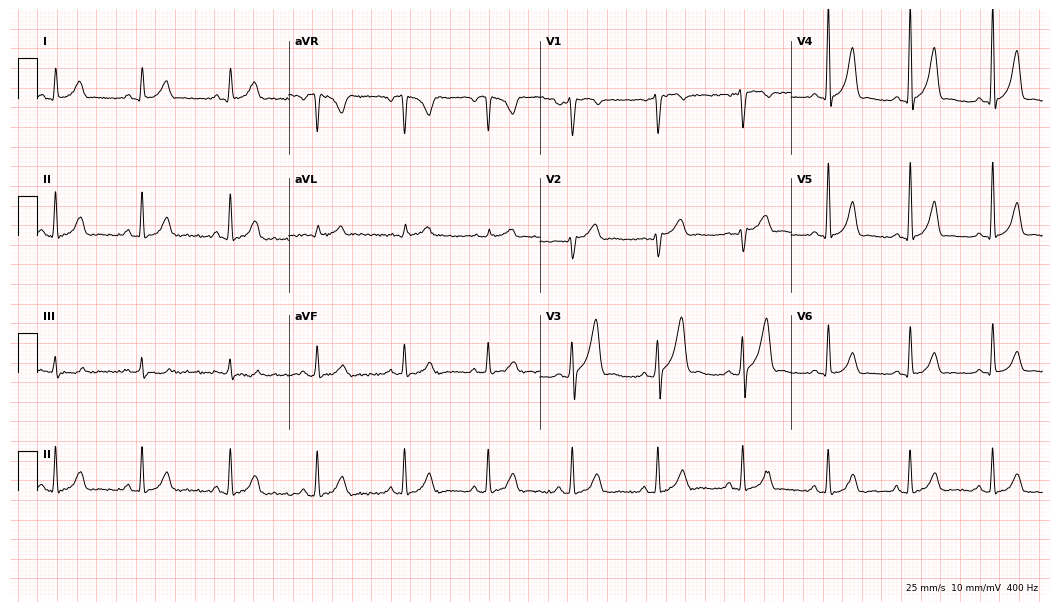
ECG — a 44-year-old man. Screened for six findings — first-degree AV block, right bundle branch block, left bundle branch block, sinus bradycardia, atrial fibrillation, sinus tachycardia — none is recorded.